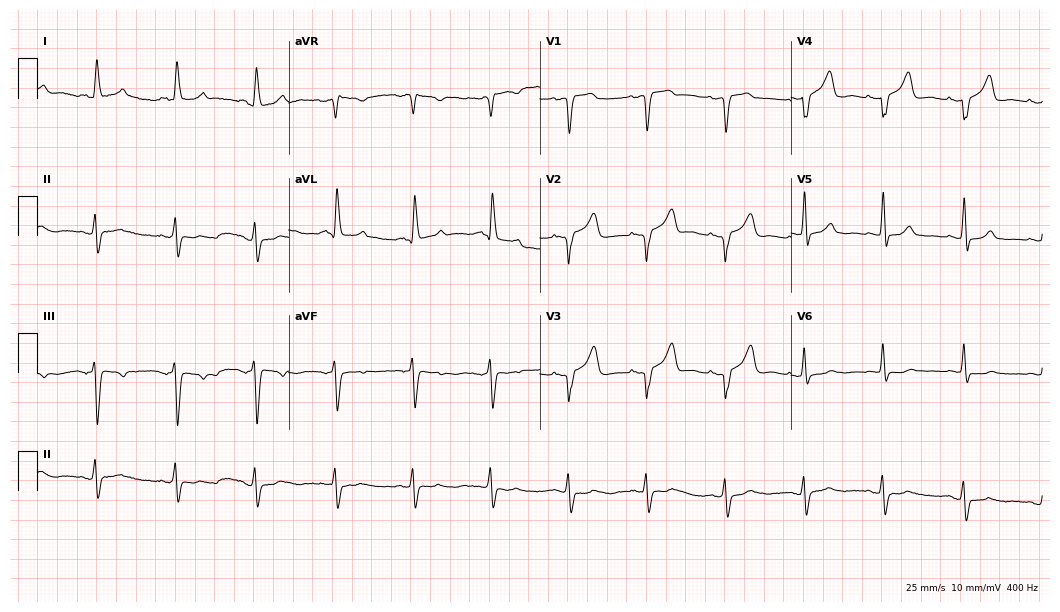
Standard 12-lead ECG recorded from a 57-year-old female patient (10.2-second recording at 400 Hz). None of these six findings is recorded: first-degree AV block, right bundle branch block, left bundle branch block, sinus bradycardia, atrial fibrillation, sinus tachycardia. Other findings, if any, are not listed.